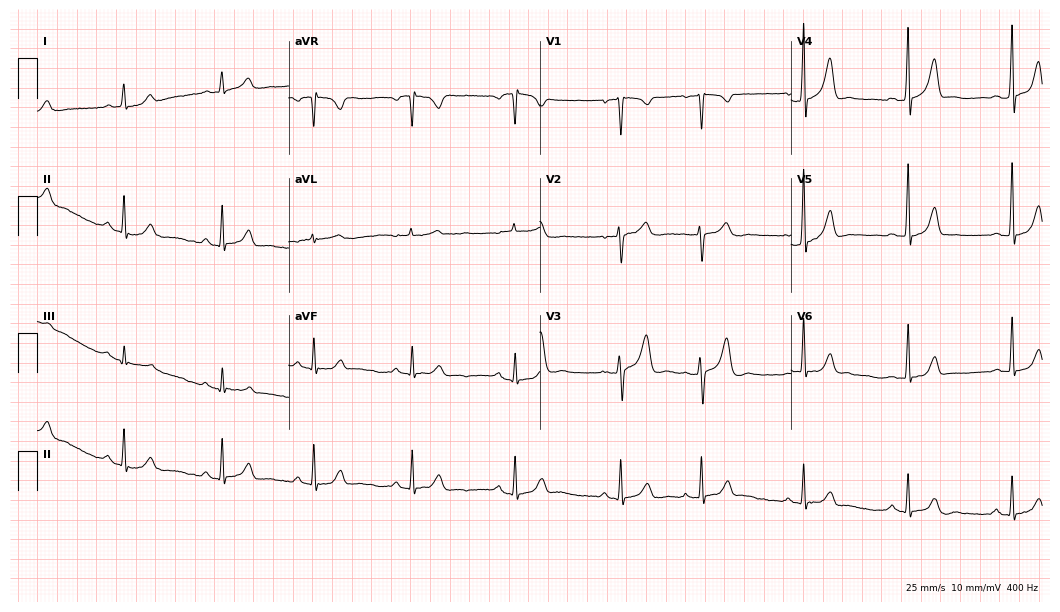
Resting 12-lead electrocardiogram (10.2-second recording at 400 Hz). Patient: a female, 37 years old. Read as a normal ECG.